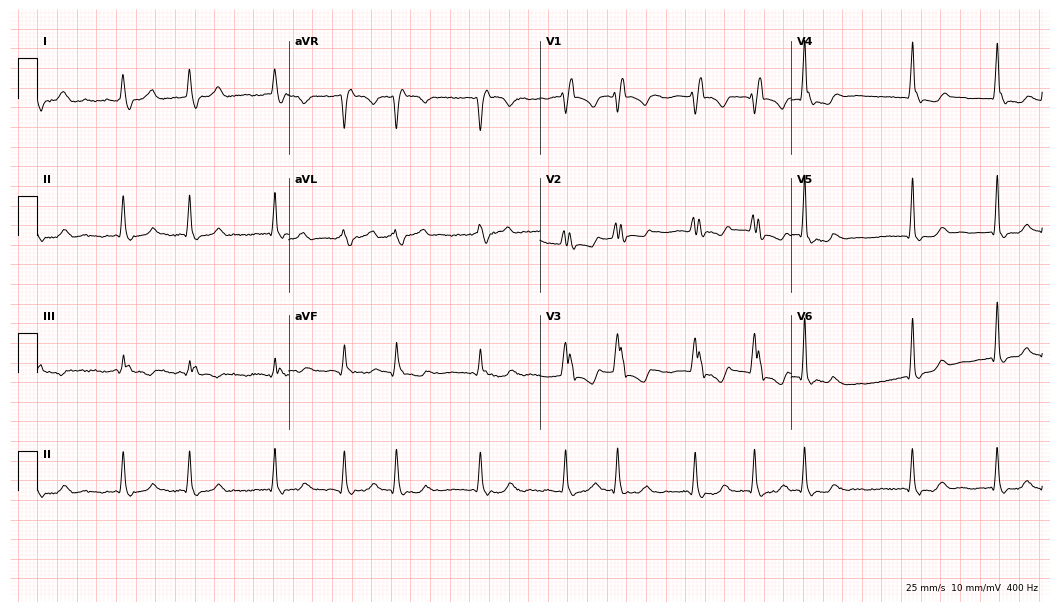
Electrocardiogram, an 81-year-old female. Interpretation includes right bundle branch block (RBBB), atrial fibrillation (AF).